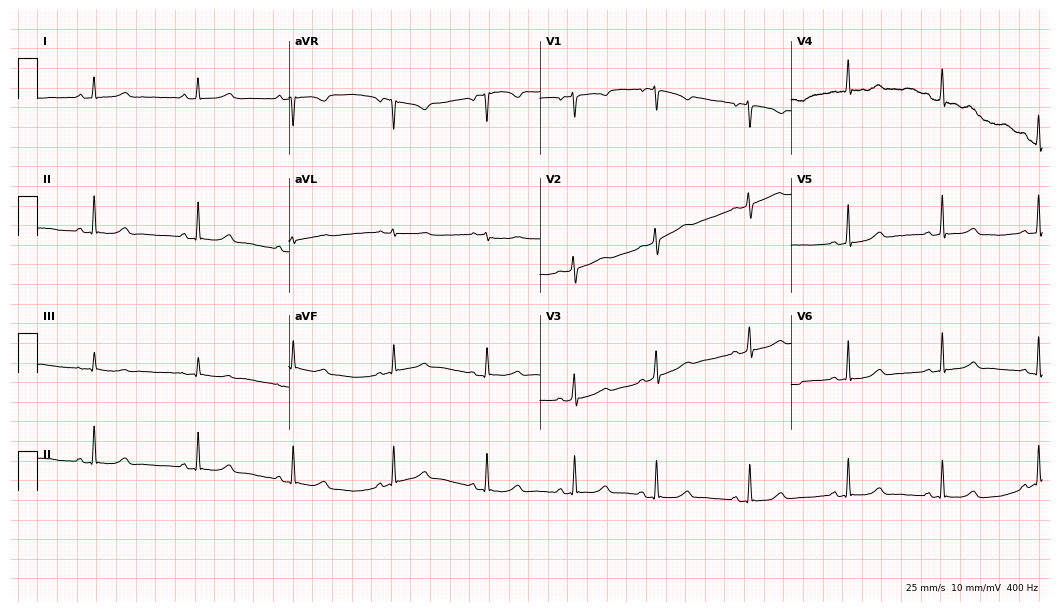
12-lead ECG from a 29-year-old female patient. Recorded interpretation: within normal limits.